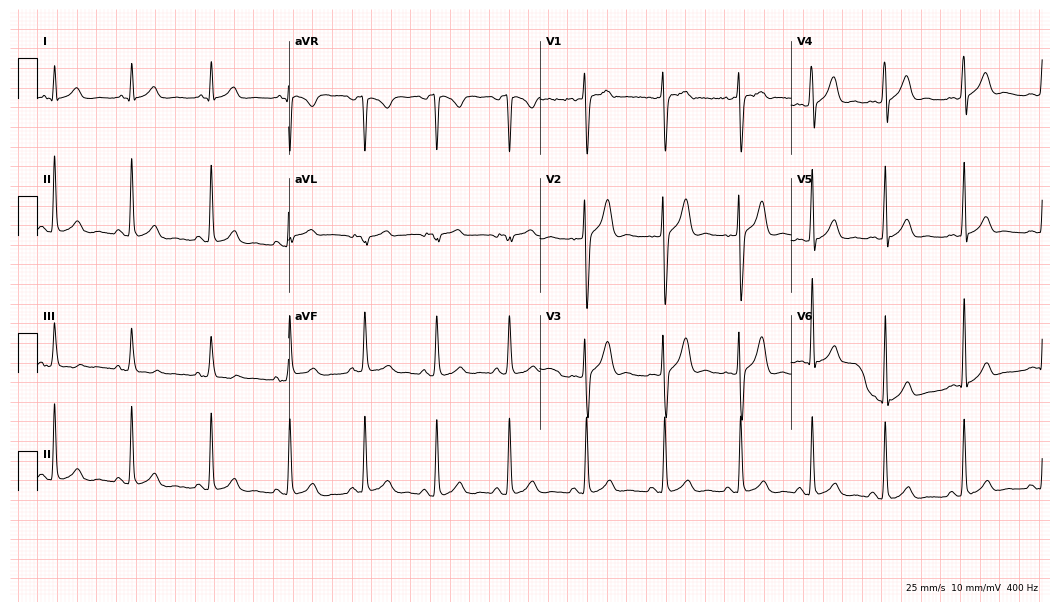
Electrocardiogram, a 22-year-old male patient. Of the six screened findings (first-degree AV block, right bundle branch block (RBBB), left bundle branch block (LBBB), sinus bradycardia, atrial fibrillation (AF), sinus tachycardia), none is recorded.